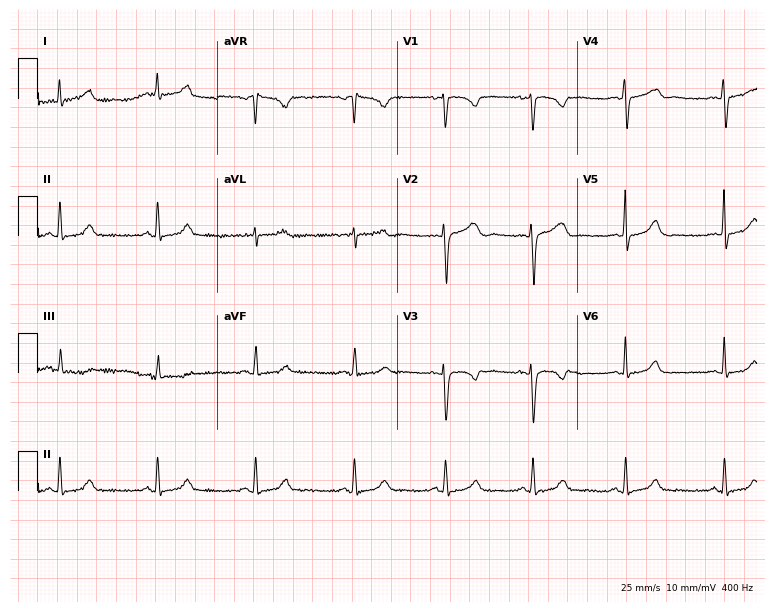
12-lead ECG from a 41-year-old woman (7.3-second recording at 400 Hz). Recorded interpretation: within normal limits.